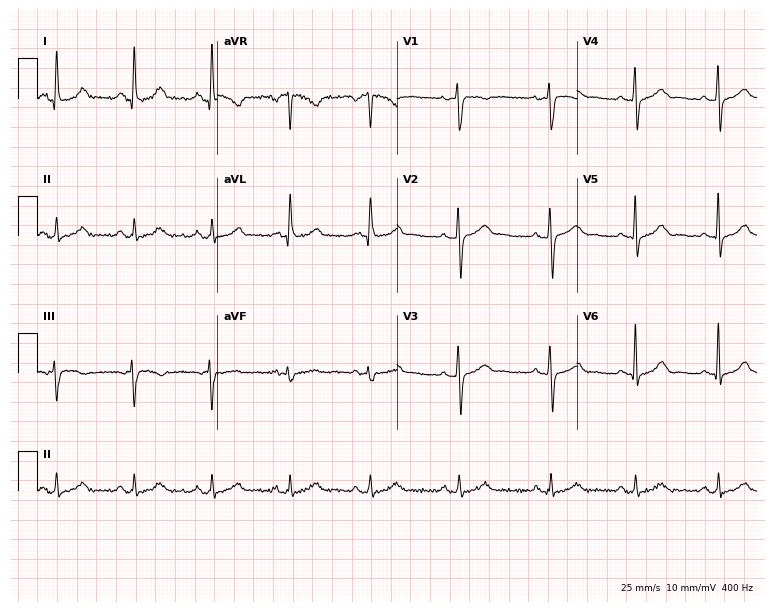
Resting 12-lead electrocardiogram (7.3-second recording at 400 Hz). Patient: a 28-year-old female. Read as a normal ECG.